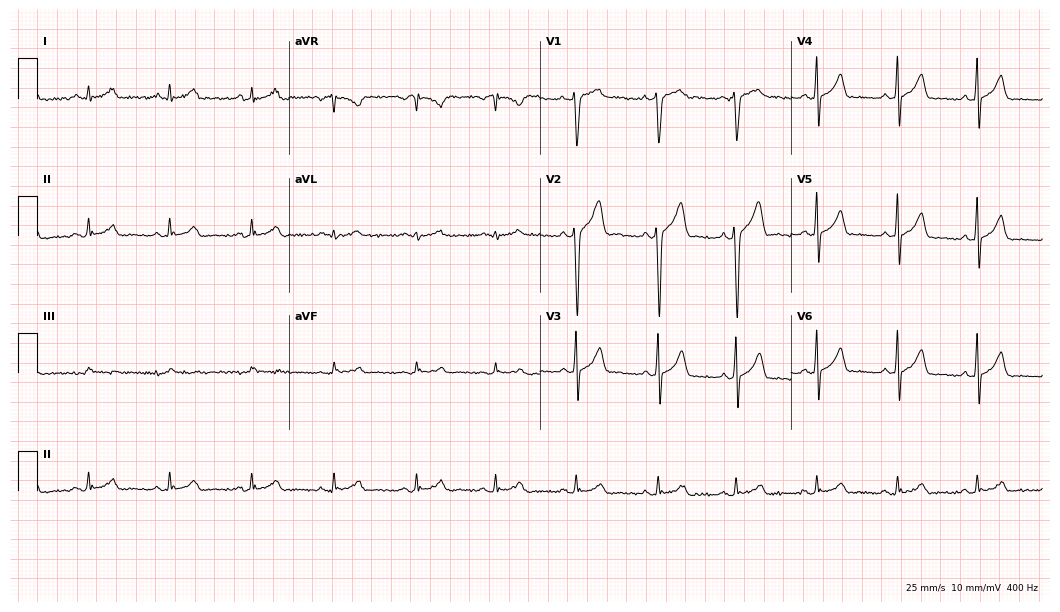
12-lead ECG from a 25-year-old female. Screened for six findings — first-degree AV block, right bundle branch block, left bundle branch block, sinus bradycardia, atrial fibrillation, sinus tachycardia — none is recorded.